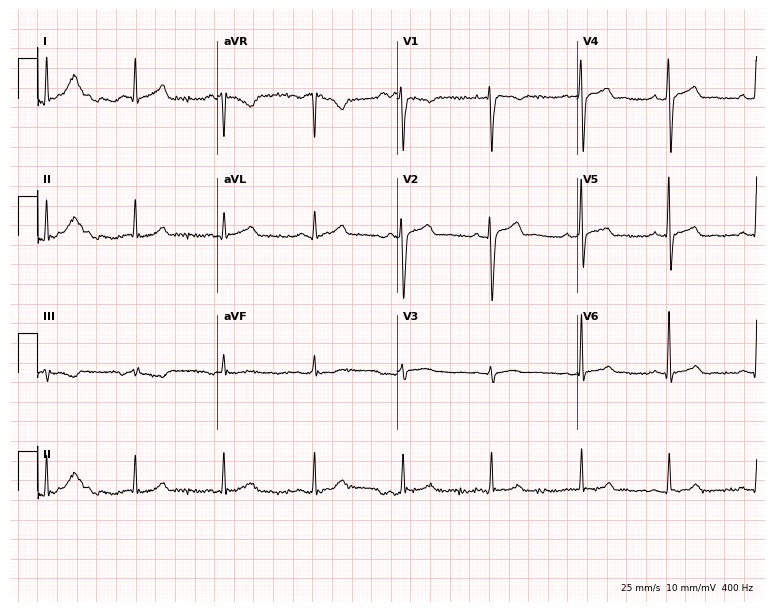
Resting 12-lead electrocardiogram. Patient: a male, 38 years old. Read as a normal ECG.